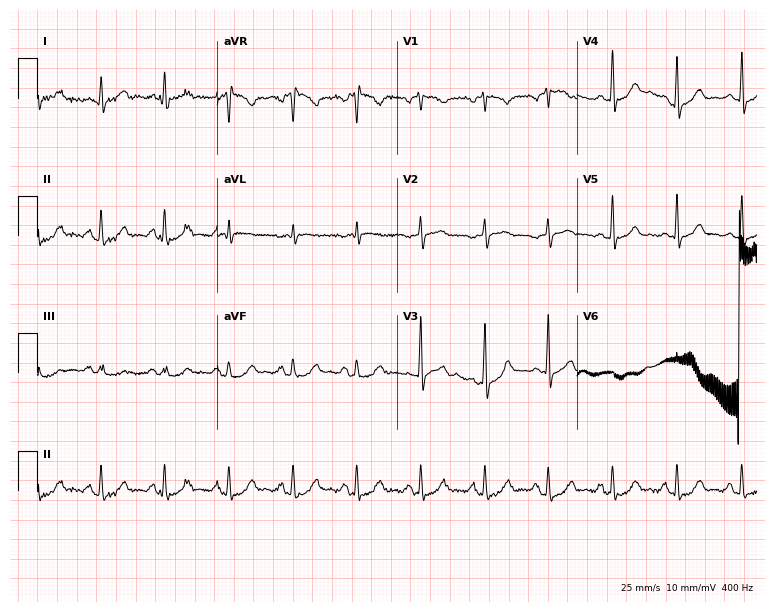
Standard 12-lead ECG recorded from a 64-year-old male (7.3-second recording at 400 Hz). Read as a normal ECG.